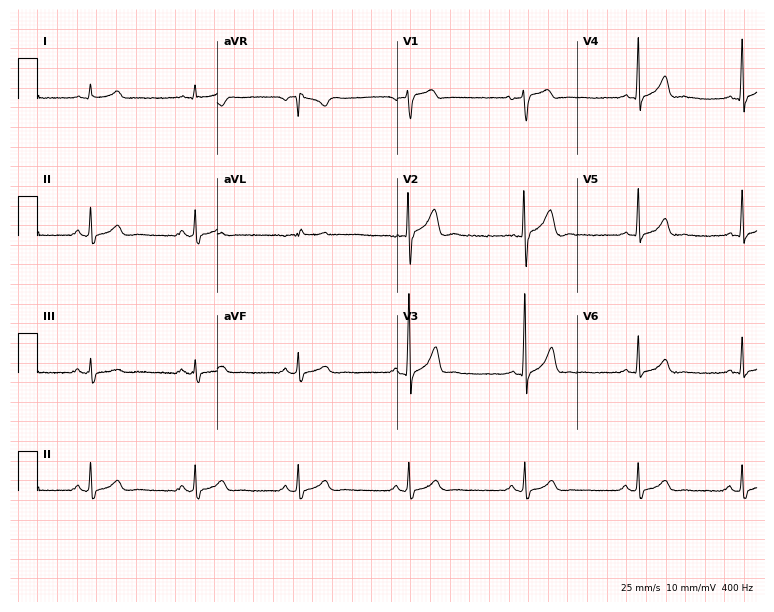
ECG — a 20-year-old male patient. Labelled as a normal ECG.